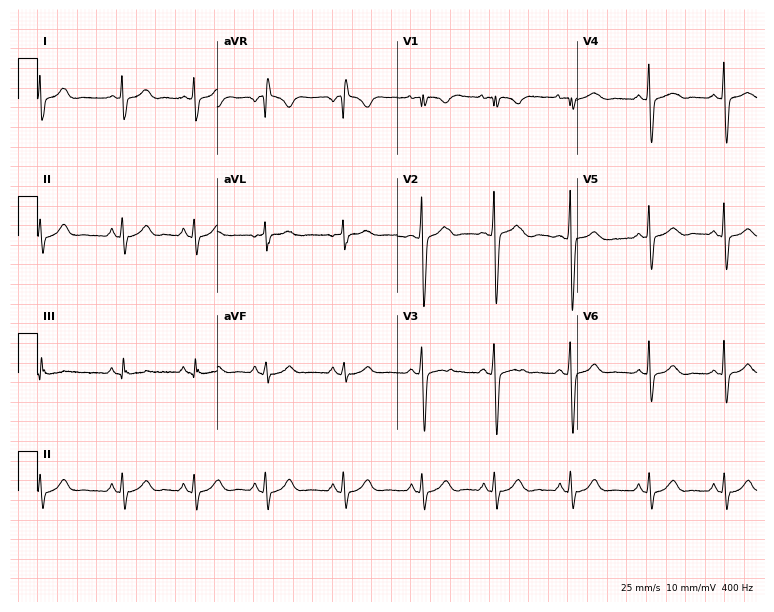
12-lead ECG from a female, 24 years old. No first-degree AV block, right bundle branch block, left bundle branch block, sinus bradycardia, atrial fibrillation or sinus tachycardia recorded for this tracing. Findings outside these six are not listed.